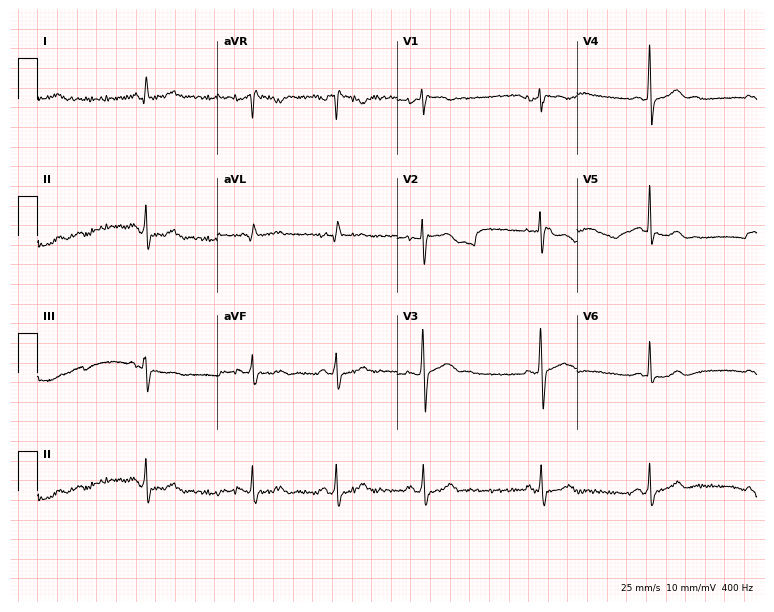
ECG — a 26-year-old female patient. Labelled as a normal ECG.